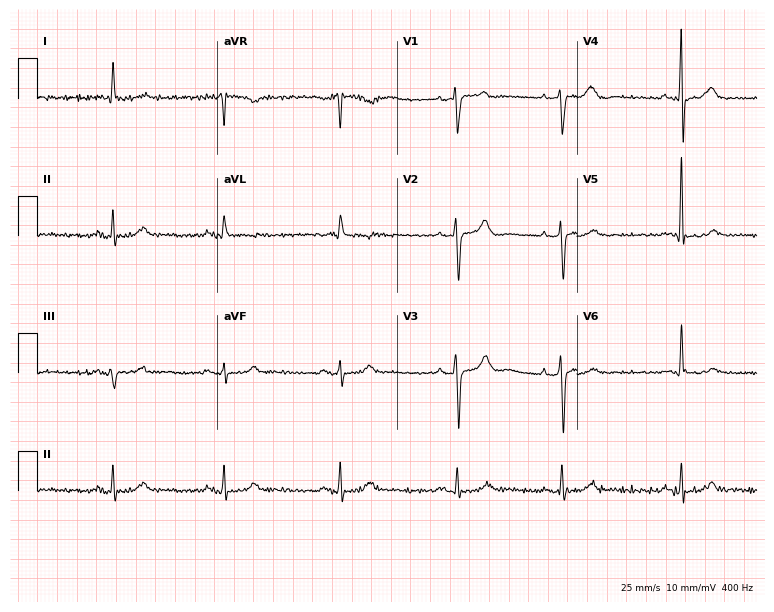
12-lead ECG from a male patient, 79 years old (7.3-second recording at 400 Hz). No first-degree AV block, right bundle branch block (RBBB), left bundle branch block (LBBB), sinus bradycardia, atrial fibrillation (AF) or sinus tachycardia recorded for this tracing. Findings outside these six are not listed.